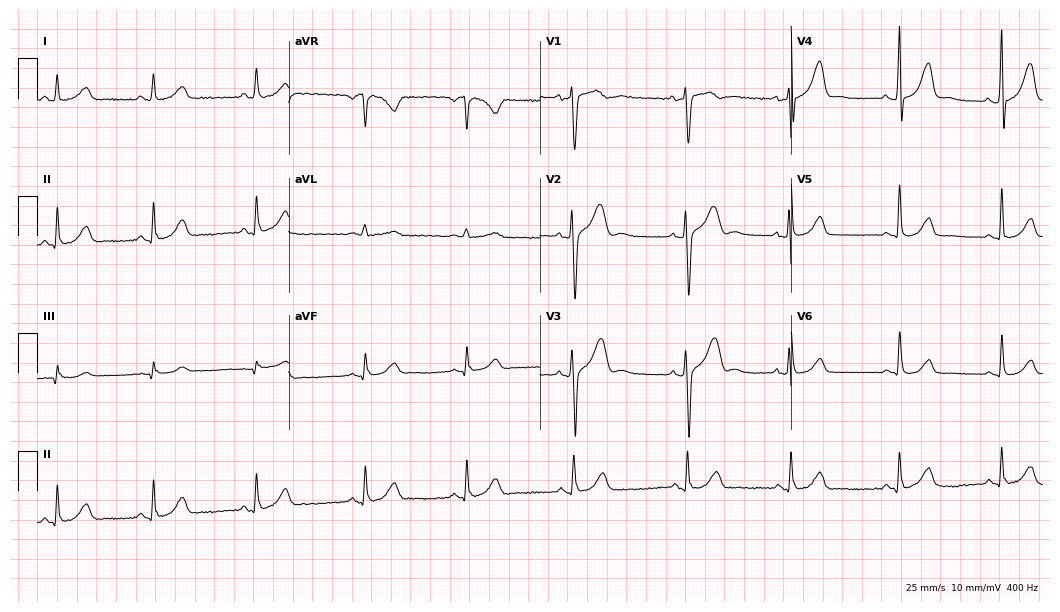
Standard 12-lead ECG recorded from a 29-year-old female (10.2-second recording at 400 Hz). Read as a normal ECG.